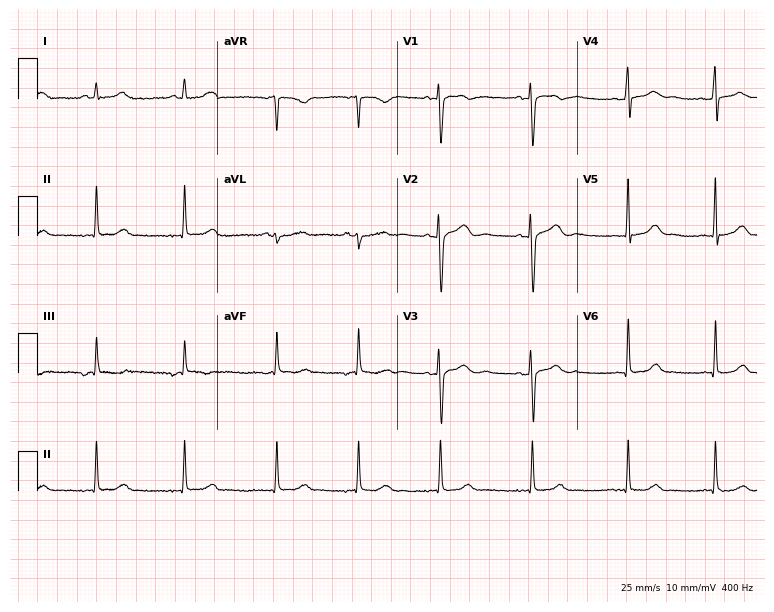
Resting 12-lead electrocardiogram (7.3-second recording at 400 Hz). Patient: a 28-year-old woman. Read as a normal ECG.